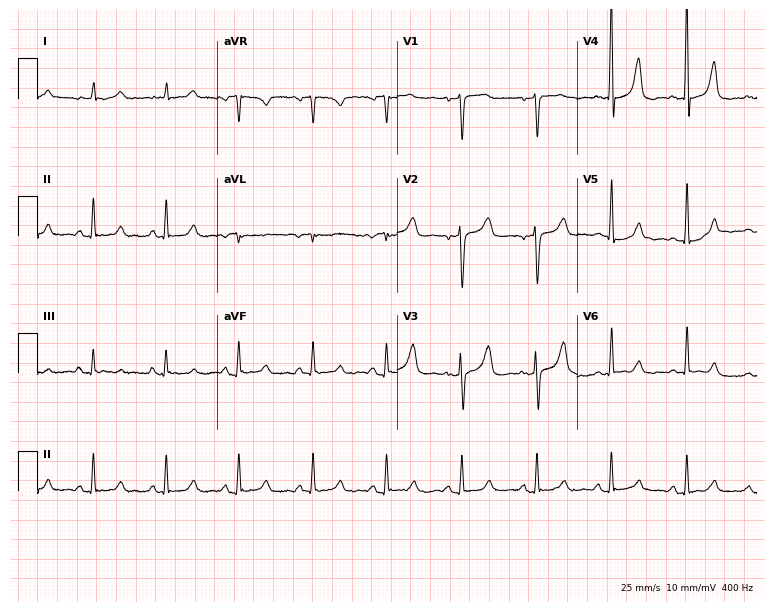
Standard 12-lead ECG recorded from a woman, 64 years old (7.3-second recording at 400 Hz). Read as a normal ECG.